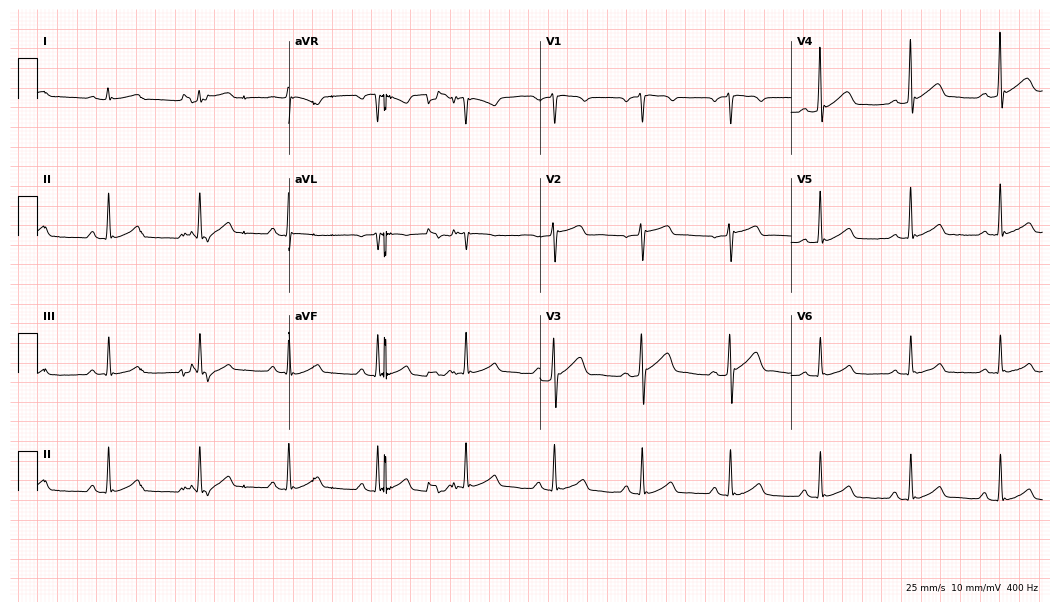
Resting 12-lead electrocardiogram (10.2-second recording at 400 Hz). Patient: a 54-year-old male. Read as a normal ECG.